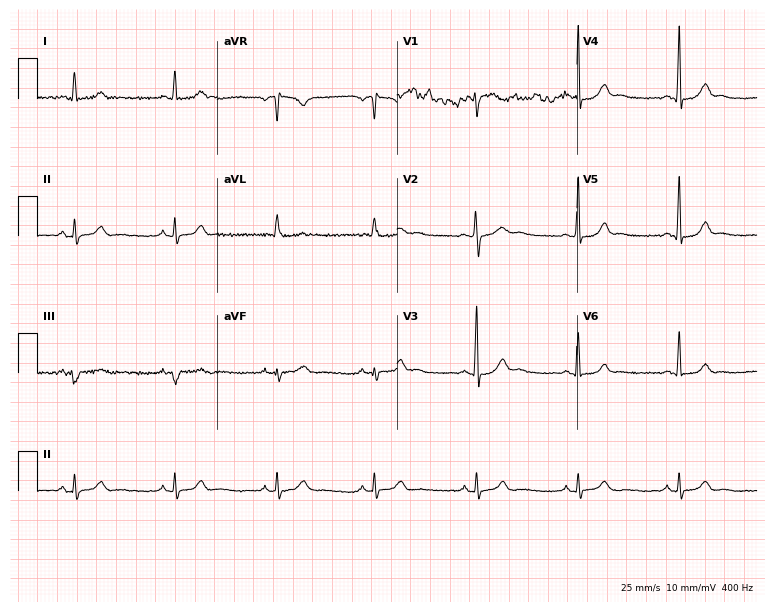
ECG (7.3-second recording at 400 Hz) — a 28-year-old woman. Screened for six findings — first-degree AV block, right bundle branch block, left bundle branch block, sinus bradycardia, atrial fibrillation, sinus tachycardia — none is recorded.